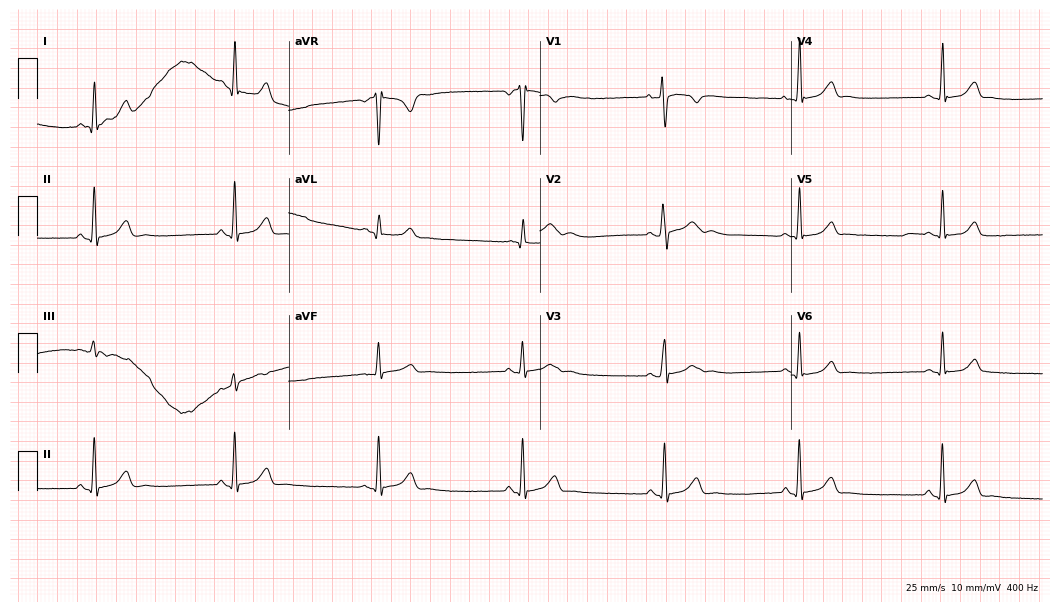
Electrocardiogram (10.2-second recording at 400 Hz), an 18-year-old female. Interpretation includes sinus bradycardia (a sinus rate of 50 beats per minute or less).